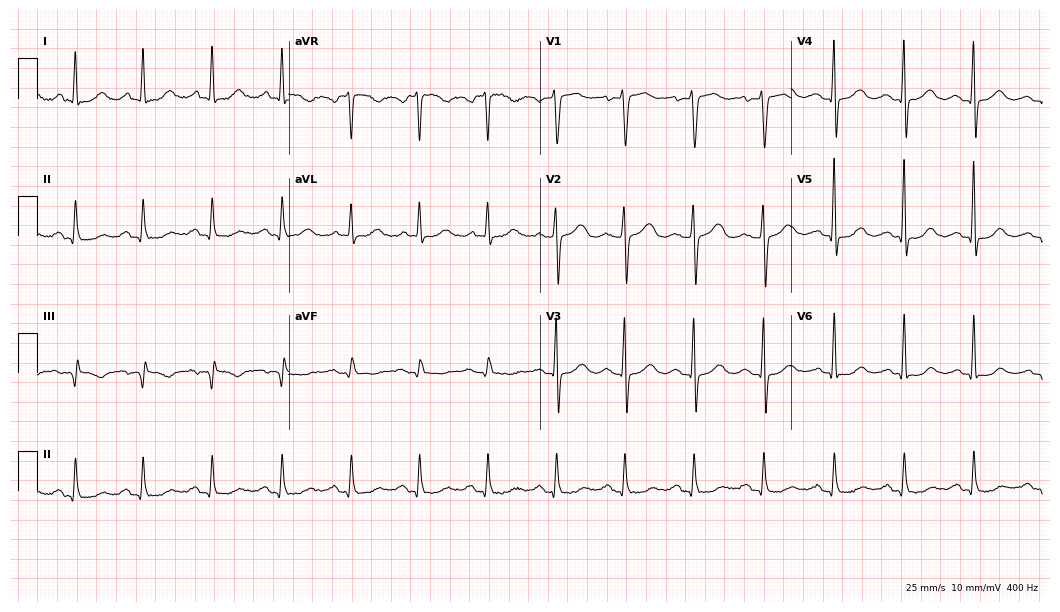
Standard 12-lead ECG recorded from a 22-year-old female. Read as a normal ECG.